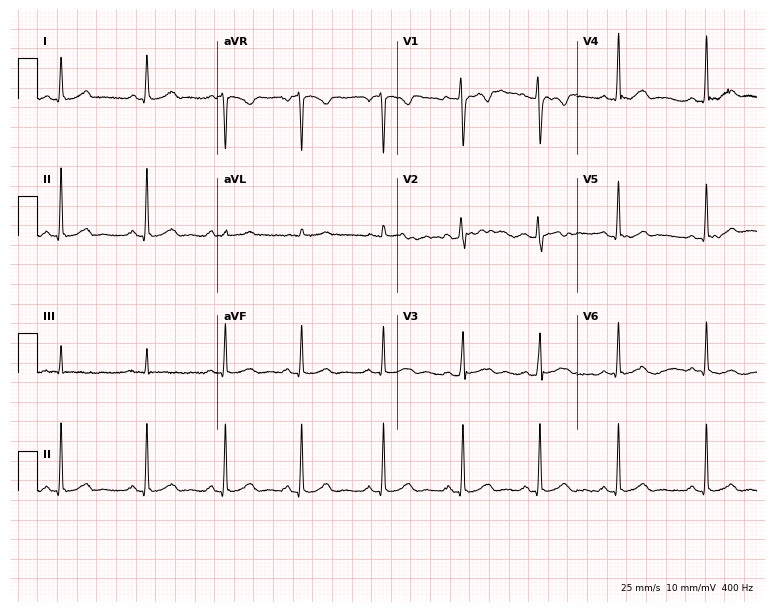
Electrocardiogram, a female patient, 31 years old. Overall reading on record: normal ECG.